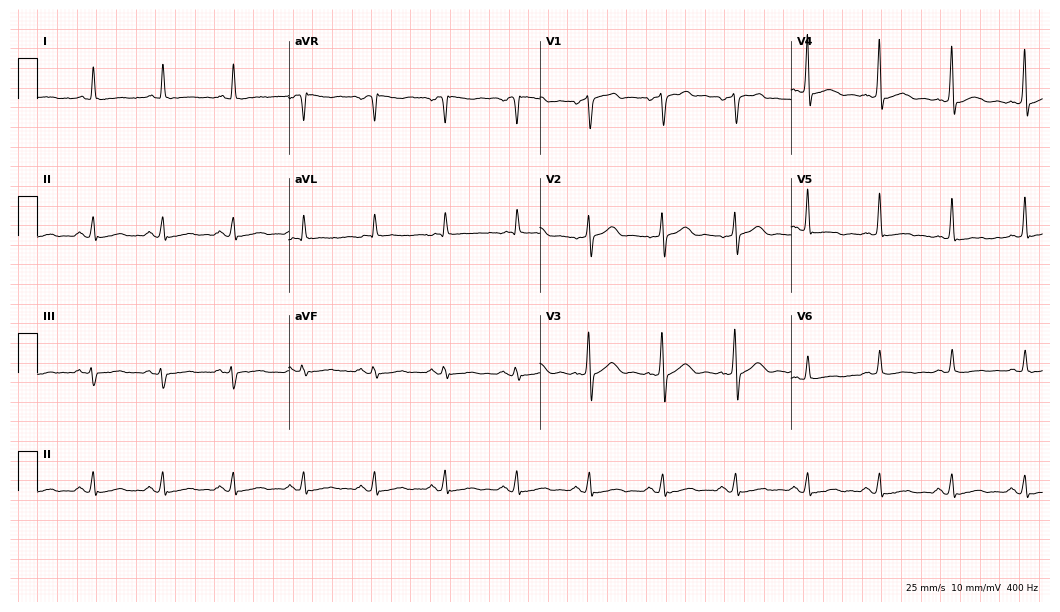
Standard 12-lead ECG recorded from a man, 46 years old. Read as a normal ECG.